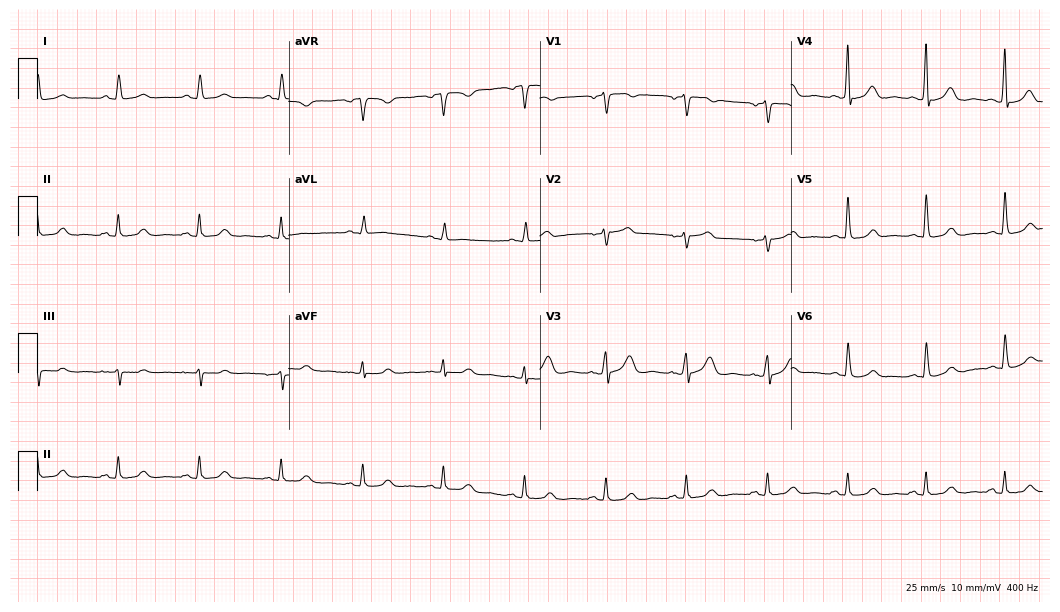
Resting 12-lead electrocardiogram. Patient: a 50-year-old woman. None of these six findings is recorded: first-degree AV block, right bundle branch block, left bundle branch block, sinus bradycardia, atrial fibrillation, sinus tachycardia.